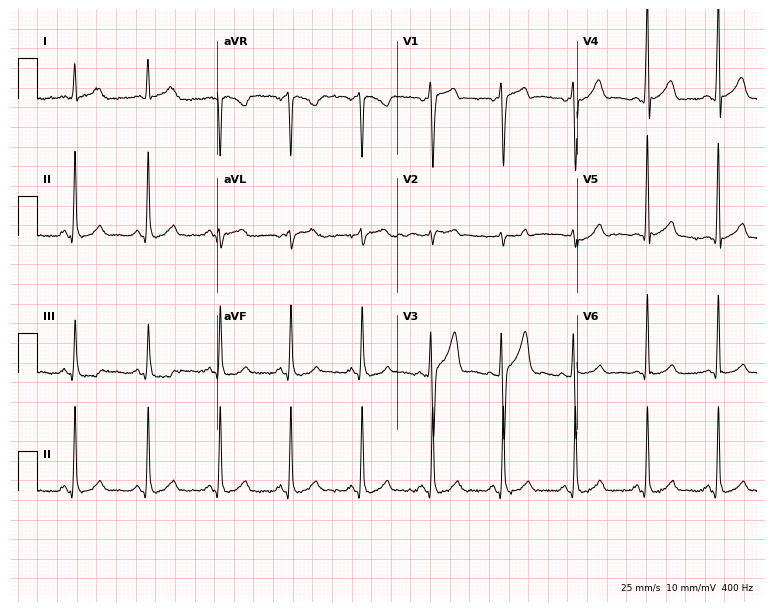
12-lead ECG from a man, 29 years old (7.3-second recording at 400 Hz). Recorded interpretation: within normal limits.